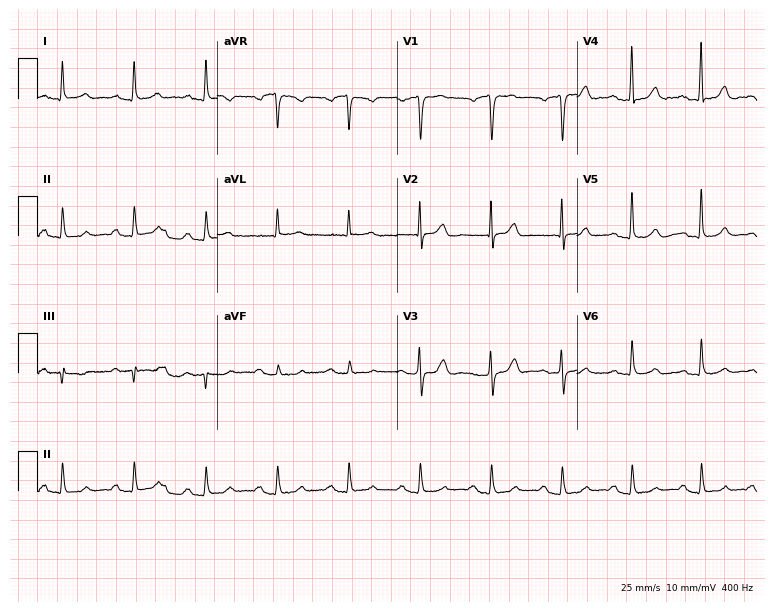
12-lead ECG (7.3-second recording at 400 Hz) from a 79-year-old male. Labelled as a normal ECG.